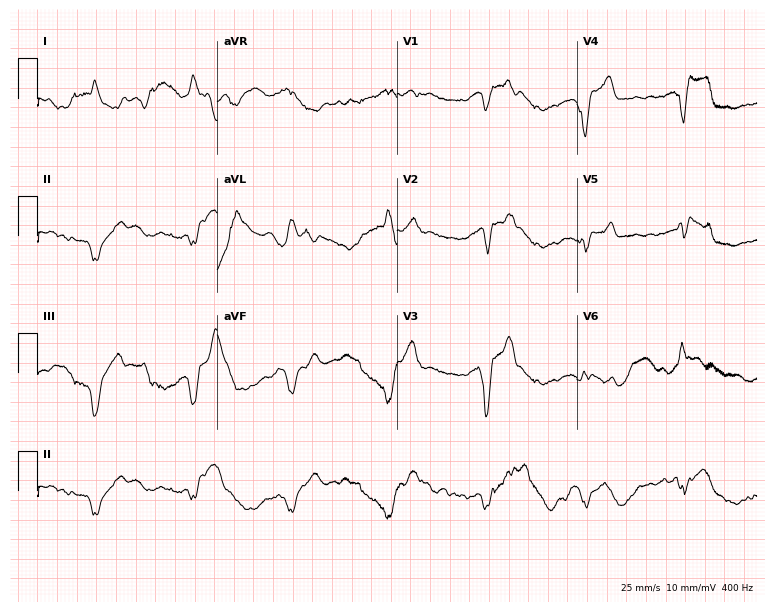
Standard 12-lead ECG recorded from a woman, 82 years old. None of these six findings is recorded: first-degree AV block, right bundle branch block, left bundle branch block, sinus bradycardia, atrial fibrillation, sinus tachycardia.